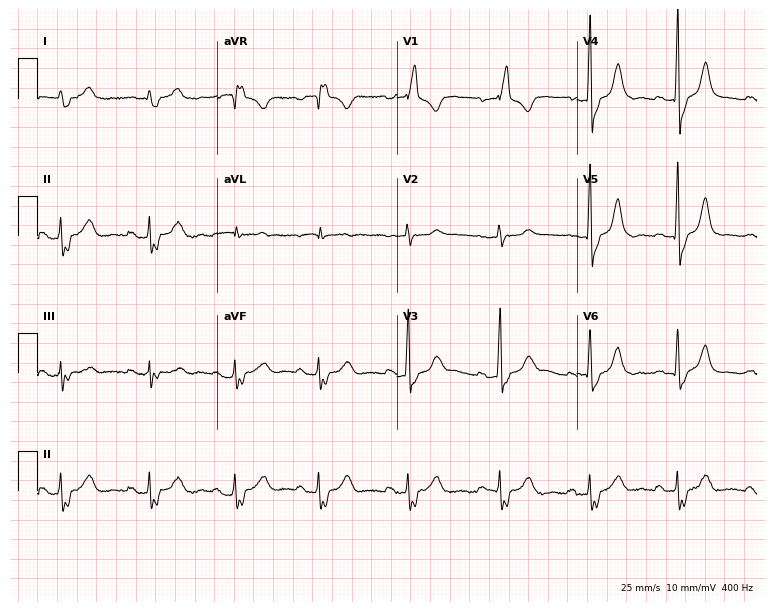
Resting 12-lead electrocardiogram (7.3-second recording at 400 Hz). Patient: a male, 62 years old. The tracing shows right bundle branch block.